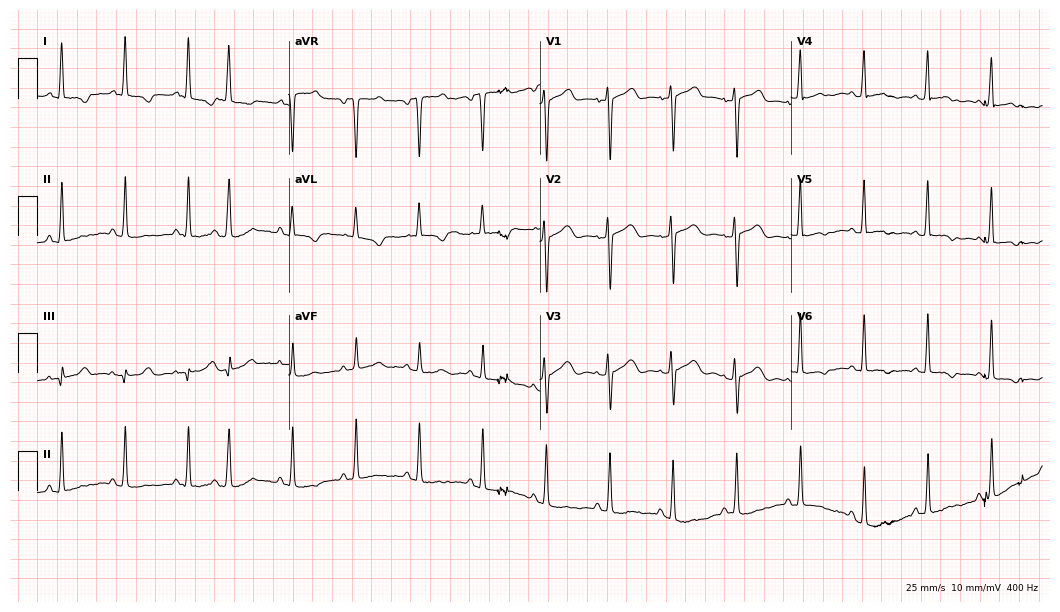
12-lead ECG from a 62-year-old woman. Screened for six findings — first-degree AV block, right bundle branch block, left bundle branch block, sinus bradycardia, atrial fibrillation, sinus tachycardia — none is recorded.